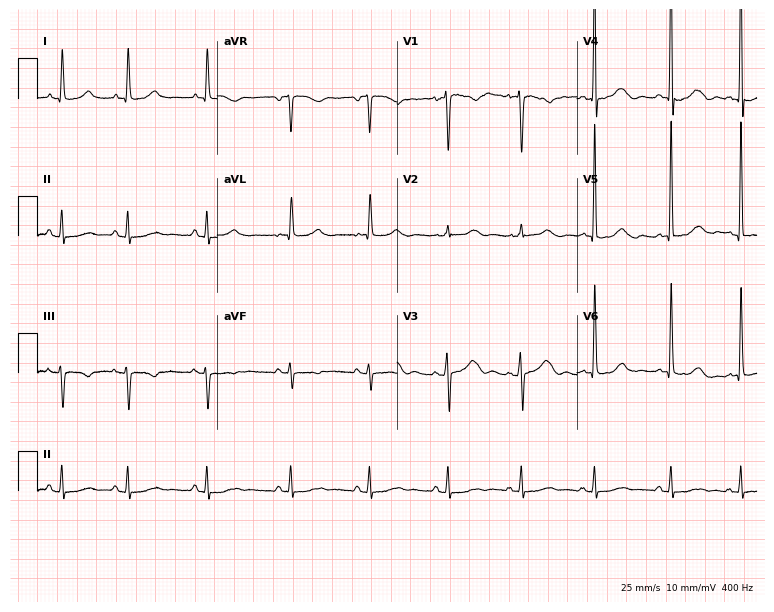
ECG (7.3-second recording at 400 Hz) — a female patient, 27 years old. Screened for six findings — first-degree AV block, right bundle branch block (RBBB), left bundle branch block (LBBB), sinus bradycardia, atrial fibrillation (AF), sinus tachycardia — none is recorded.